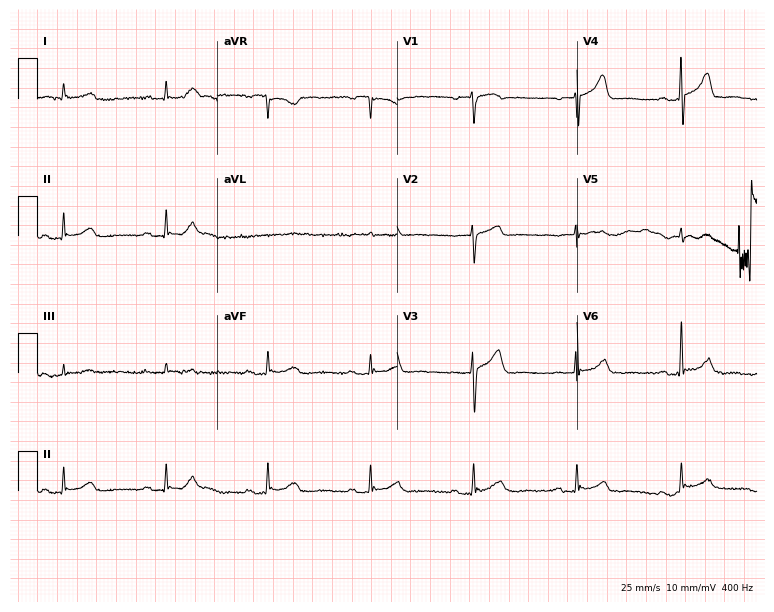
Resting 12-lead electrocardiogram (7.3-second recording at 400 Hz). Patient: an 82-year-old male. The tracing shows first-degree AV block.